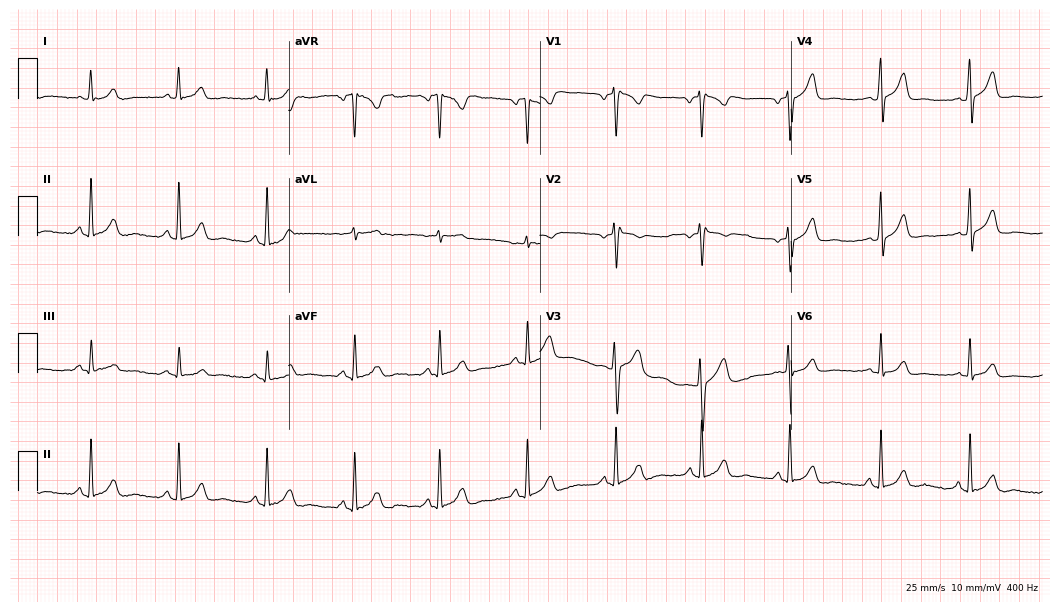
ECG (10.2-second recording at 400 Hz) — a woman, 31 years old. Labelled as a normal ECG.